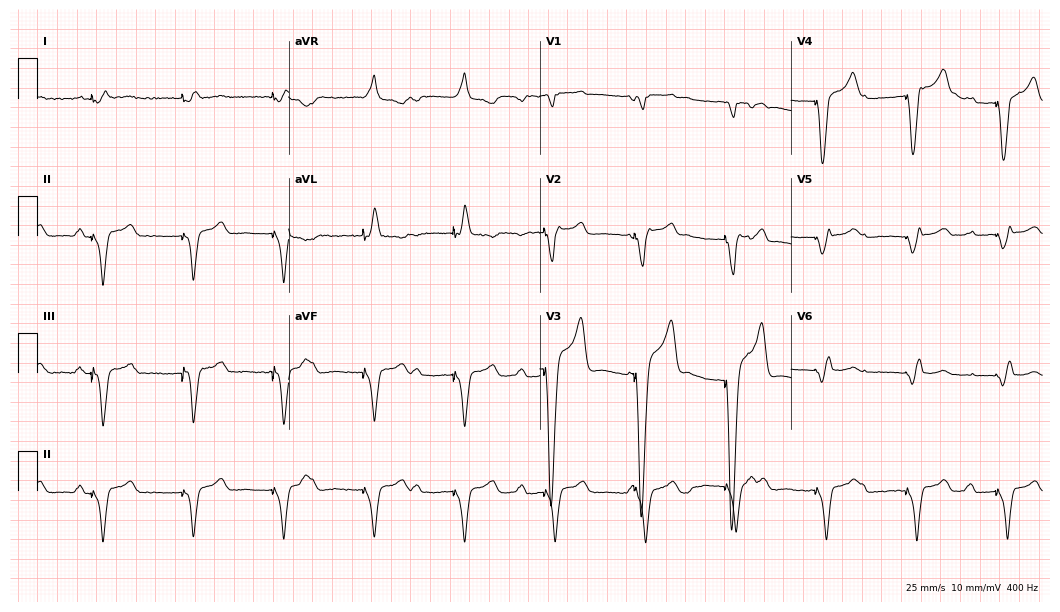
Resting 12-lead electrocardiogram (10.2-second recording at 400 Hz). Patient: a 55-year-old male. None of these six findings is recorded: first-degree AV block, right bundle branch block, left bundle branch block, sinus bradycardia, atrial fibrillation, sinus tachycardia.